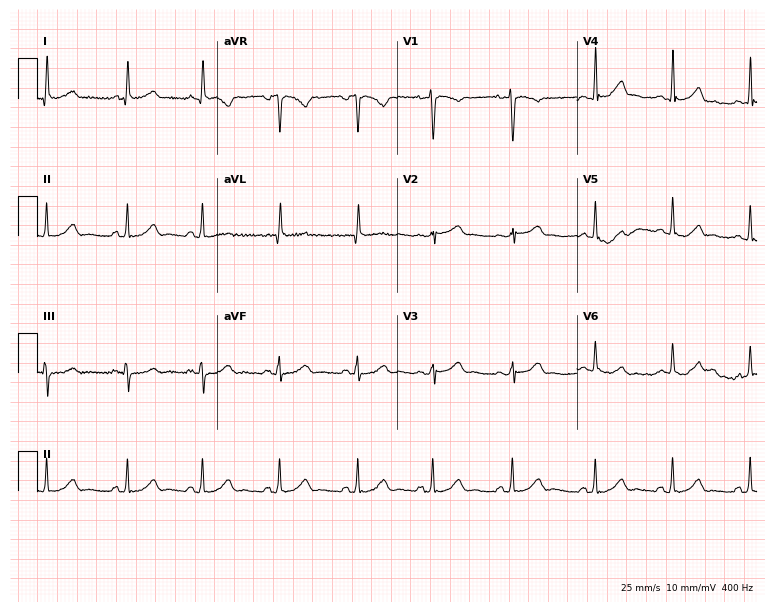
ECG — a female patient, 34 years old. Labelled as a normal ECG.